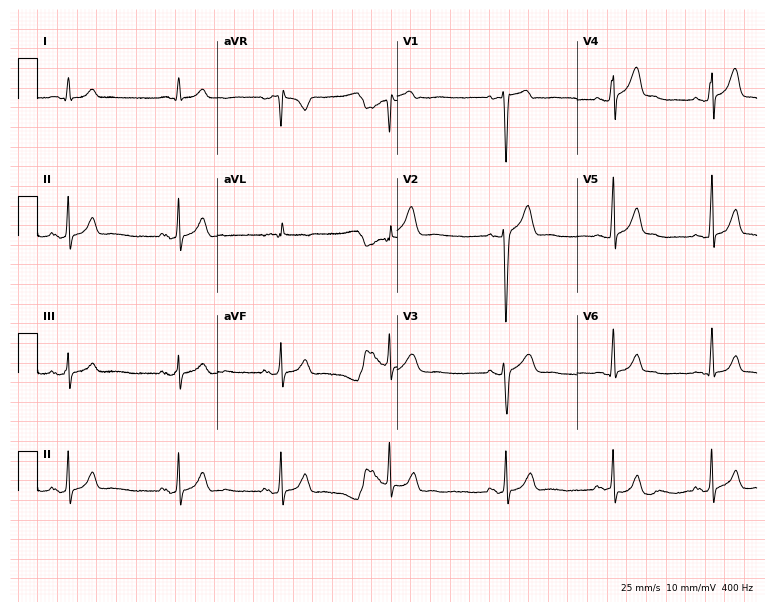
12-lead ECG (7.3-second recording at 400 Hz) from a 26-year-old male patient. Screened for six findings — first-degree AV block, right bundle branch block, left bundle branch block, sinus bradycardia, atrial fibrillation, sinus tachycardia — none is recorded.